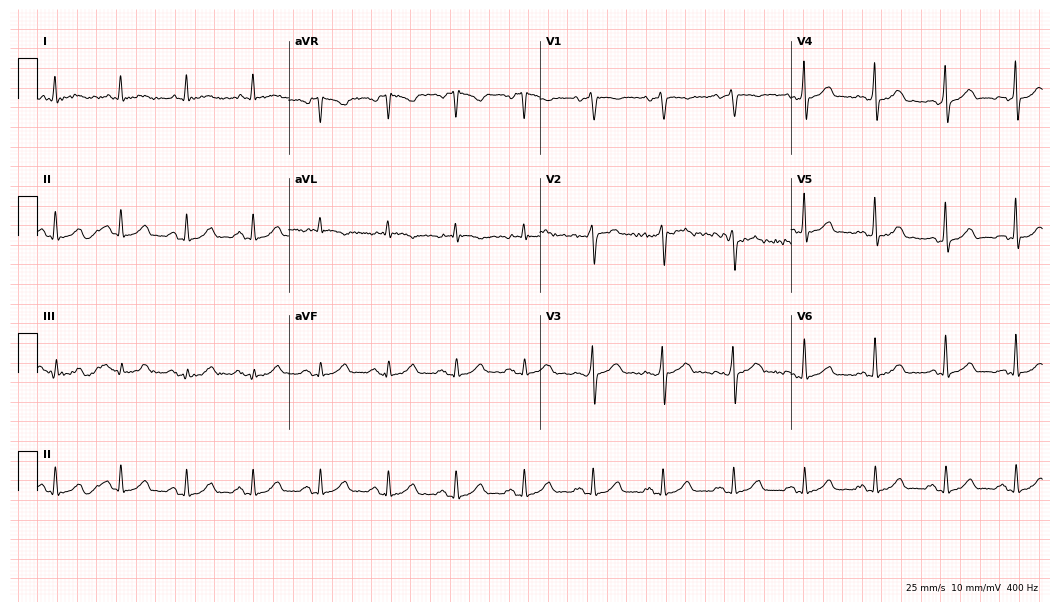
12-lead ECG from a 59-year-old man. No first-degree AV block, right bundle branch block, left bundle branch block, sinus bradycardia, atrial fibrillation or sinus tachycardia recorded for this tracing.